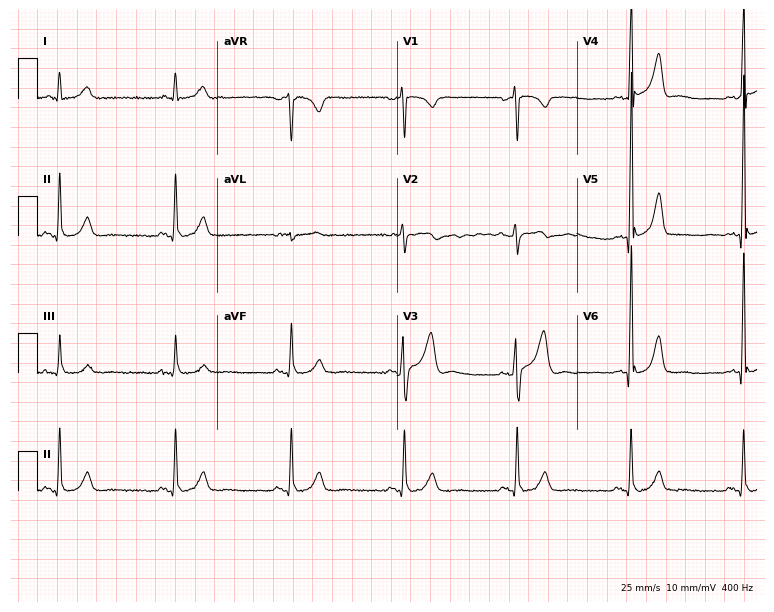
Electrocardiogram (7.3-second recording at 400 Hz), a 57-year-old male patient. Overall reading on record: normal ECG.